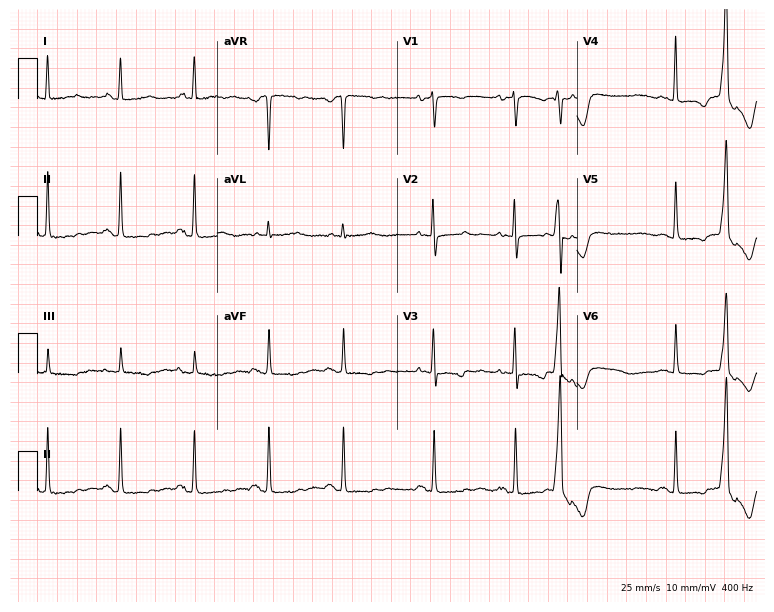
ECG (7.3-second recording at 400 Hz) — a female patient, 77 years old. Screened for six findings — first-degree AV block, right bundle branch block, left bundle branch block, sinus bradycardia, atrial fibrillation, sinus tachycardia — none is recorded. Other findings, if any, are not listed.